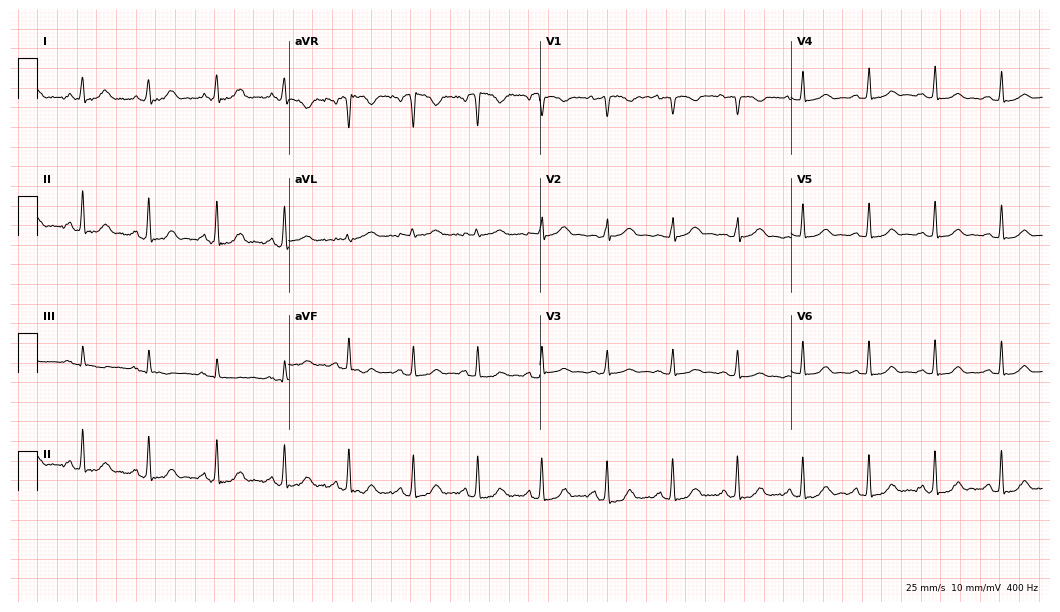
12-lead ECG from a 22-year-old female. Recorded interpretation: within normal limits.